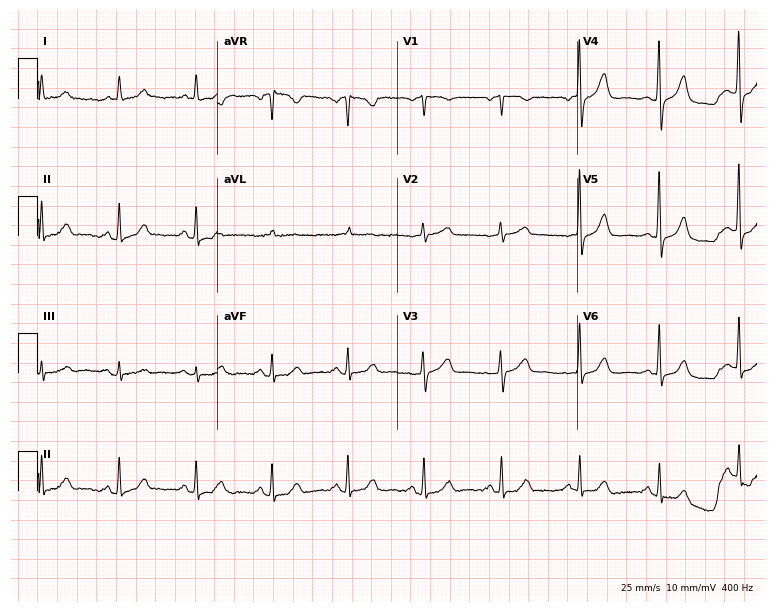
12-lead ECG from a female patient, 67 years old (7.3-second recording at 400 Hz). Recorded interpretation: within normal limits.